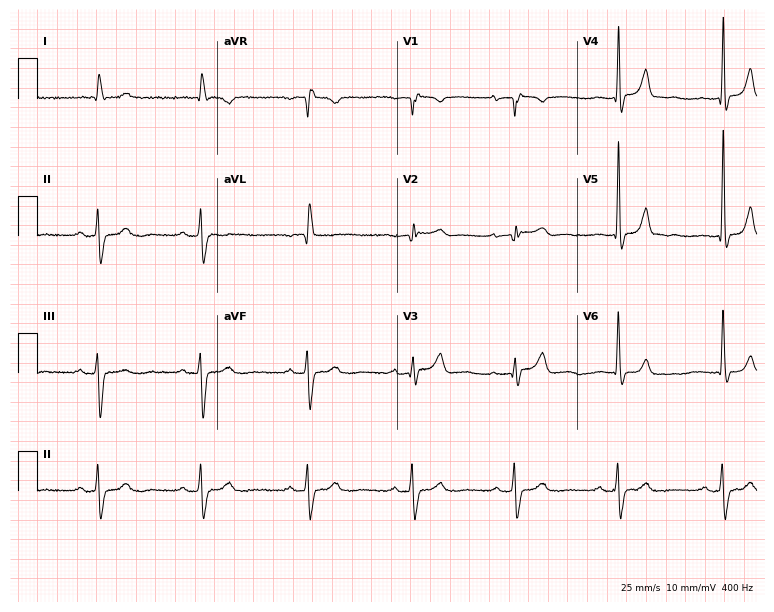
12-lead ECG from a woman, 68 years old. Findings include right bundle branch block (RBBB).